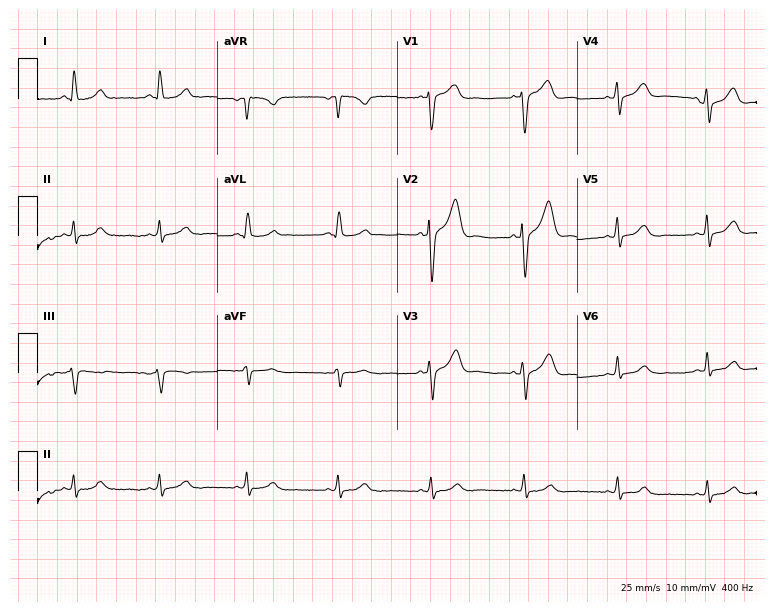
12-lead ECG from a male patient, 57 years old. Screened for six findings — first-degree AV block, right bundle branch block, left bundle branch block, sinus bradycardia, atrial fibrillation, sinus tachycardia — none is recorded. Other findings, if any, are not listed.